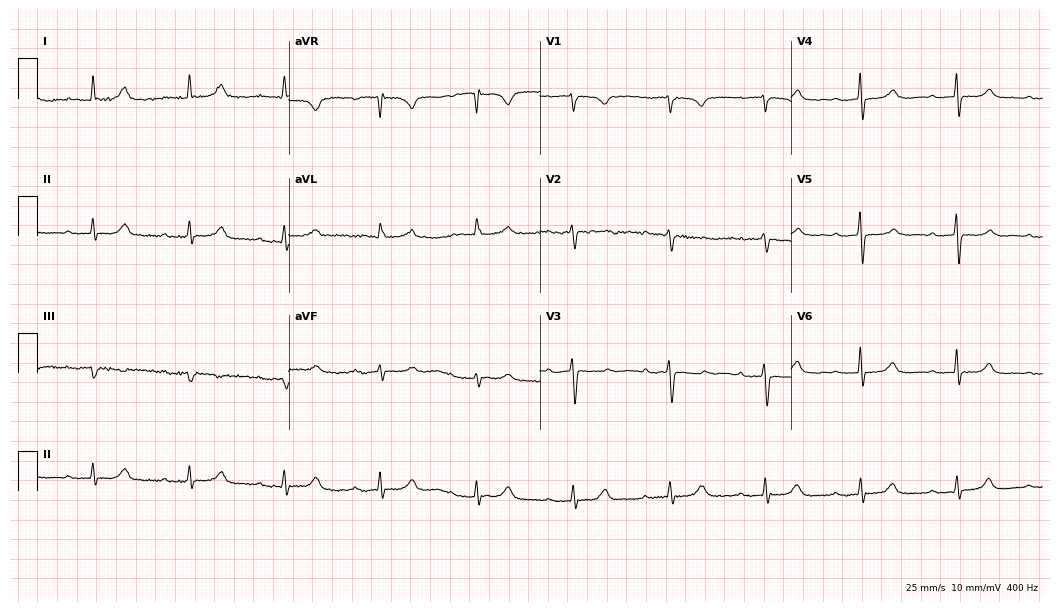
12-lead ECG from a female patient, 63 years old. Findings include first-degree AV block.